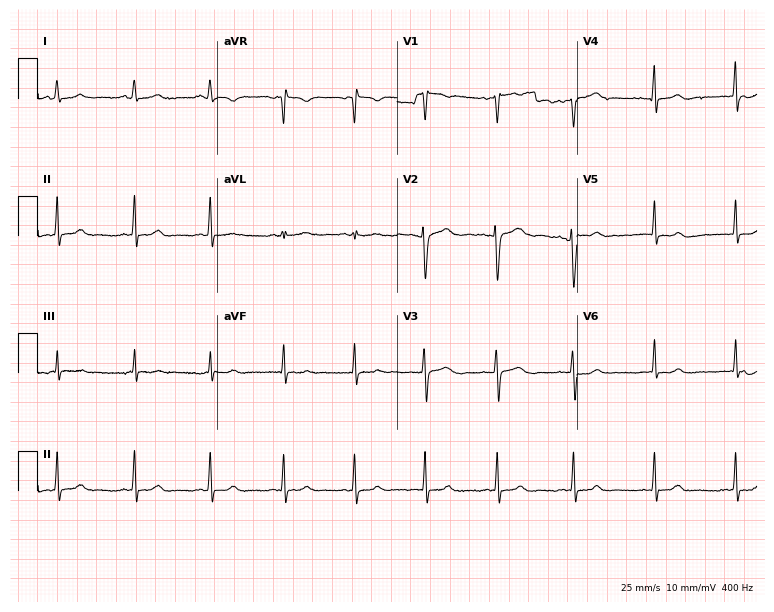
Standard 12-lead ECG recorded from a 25-year-old female. Read as a normal ECG.